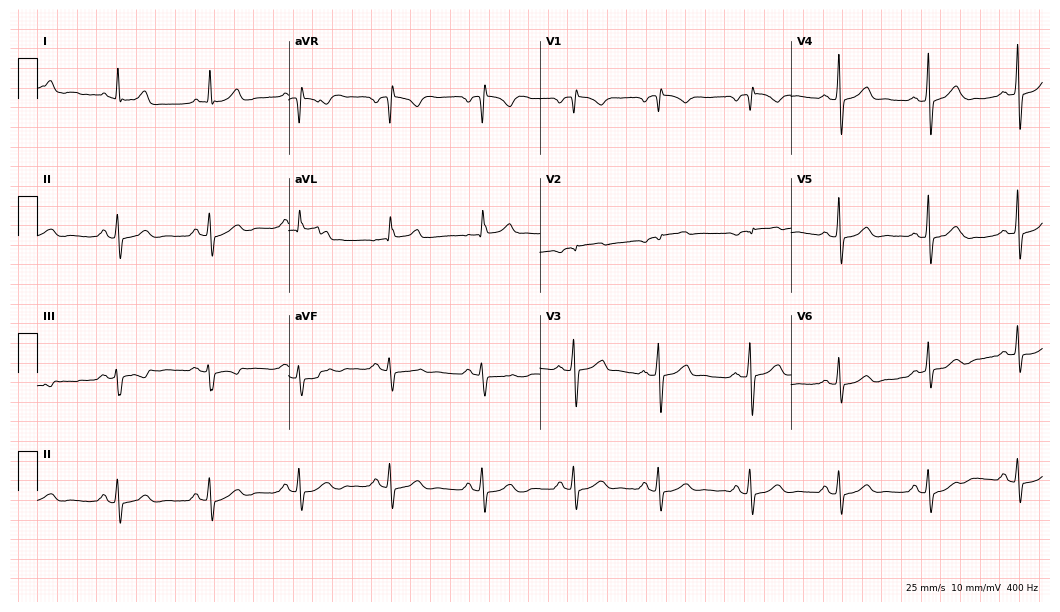
Resting 12-lead electrocardiogram (10.2-second recording at 400 Hz). Patient: a male, 66 years old. None of these six findings is recorded: first-degree AV block, right bundle branch block (RBBB), left bundle branch block (LBBB), sinus bradycardia, atrial fibrillation (AF), sinus tachycardia.